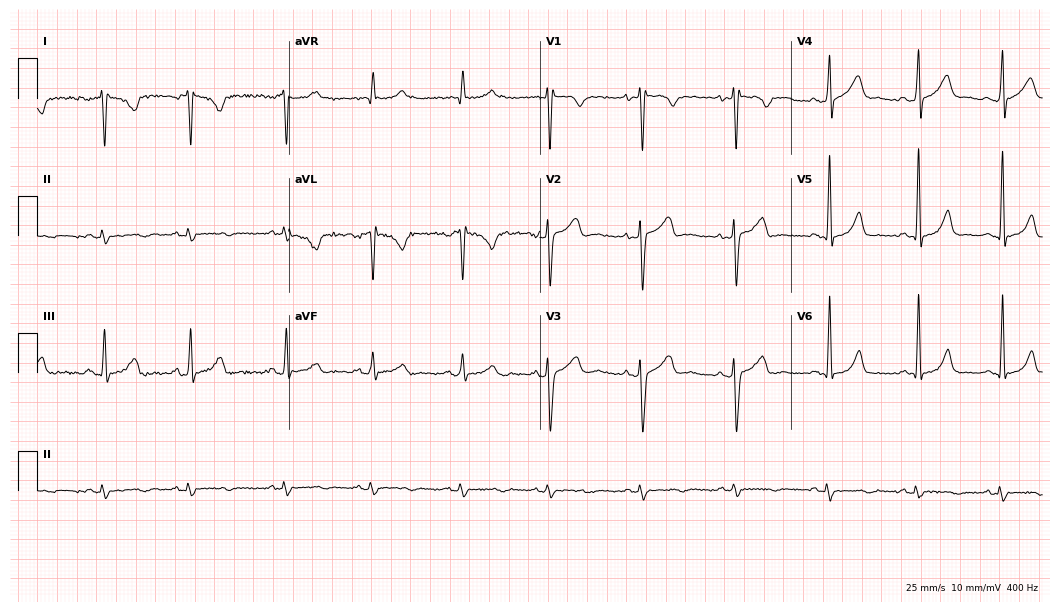
Resting 12-lead electrocardiogram (10.2-second recording at 400 Hz). Patient: a woman, 24 years old. None of these six findings is recorded: first-degree AV block, right bundle branch block, left bundle branch block, sinus bradycardia, atrial fibrillation, sinus tachycardia. Other findings, if any, are not listed.